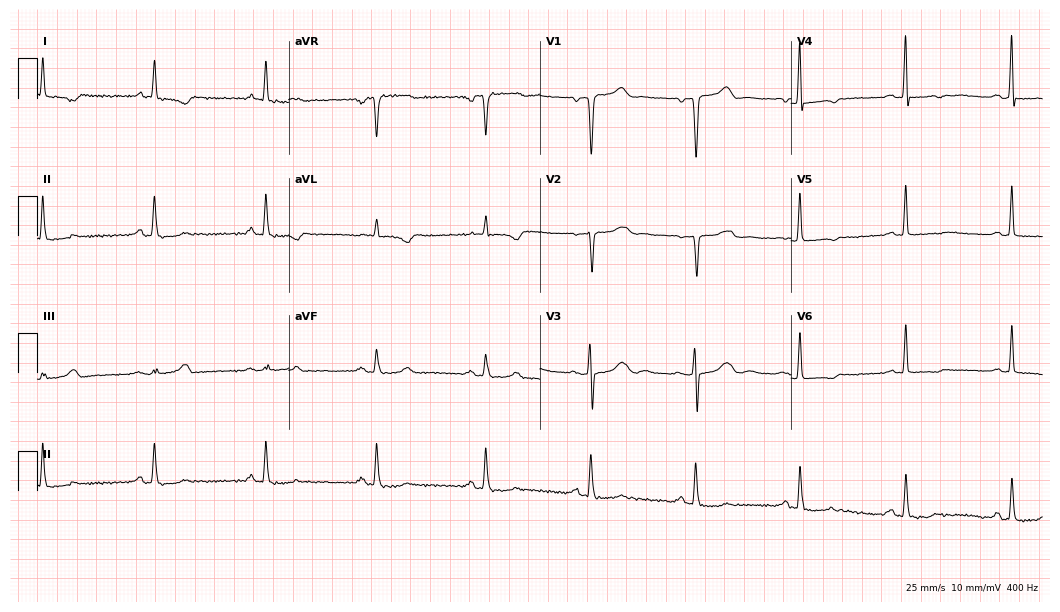
12-lead ECG from a 54-year-old woman (10.2-second recording at 400 Hz). No first-degree AV block, right bundle branch block (RBBB), left bundle branch block (LBBB), sinus bradycardia, atrial fibrillation (AF) or sinus tachycardia recorded for this tracing.